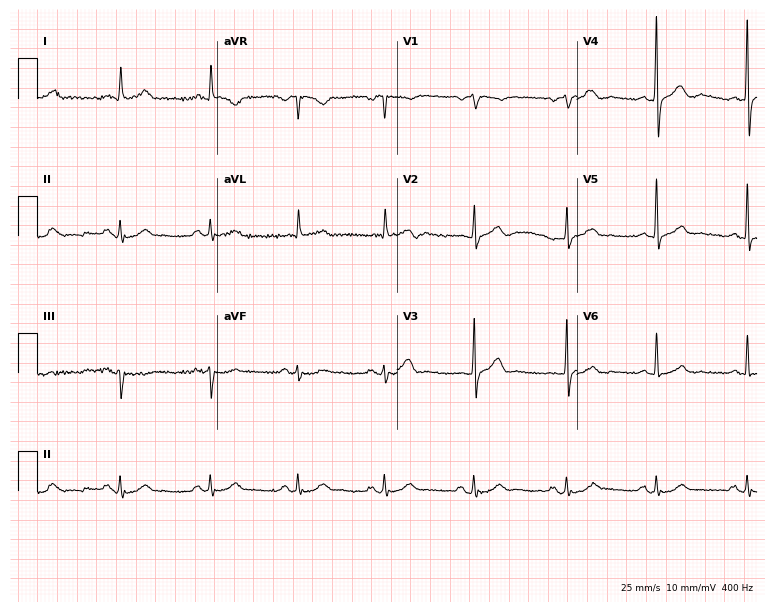
12-lead ECG from a 62-year-old male patient. Recorded interpretation: within normal limits.